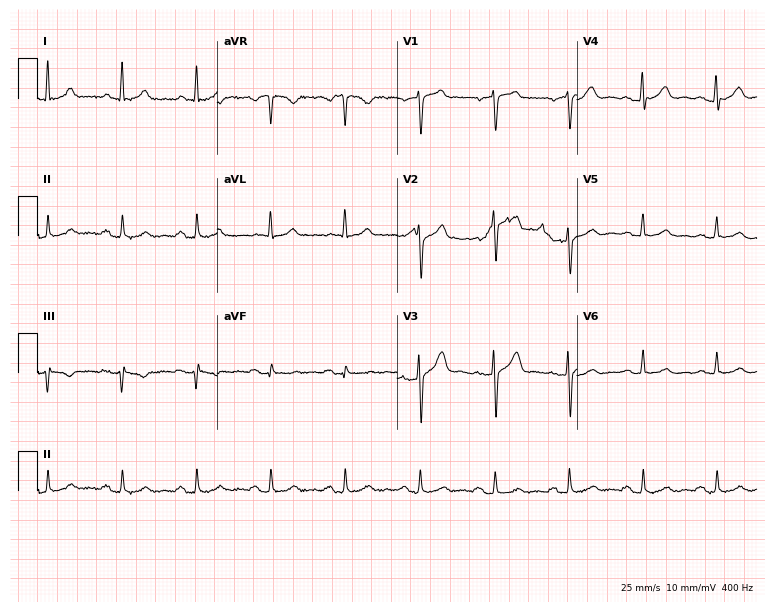
12-lead ECG from a male patient, 56 years old (7.3-second recording at 400 Hz). No first-degree AV block, right bundle branch block, left bundle branch block, sinus bradycardia, atrial fibrillation or sinus tachycardia recorded for this tracing.